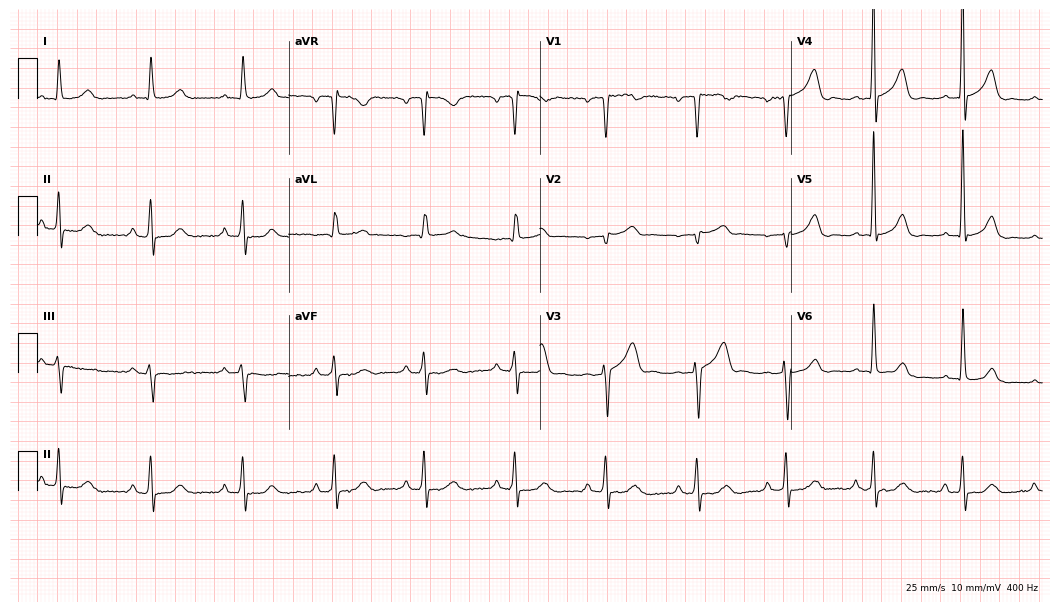
Electrocardiogram, a man, 61 years old. Overall reading on record: normal ECG.